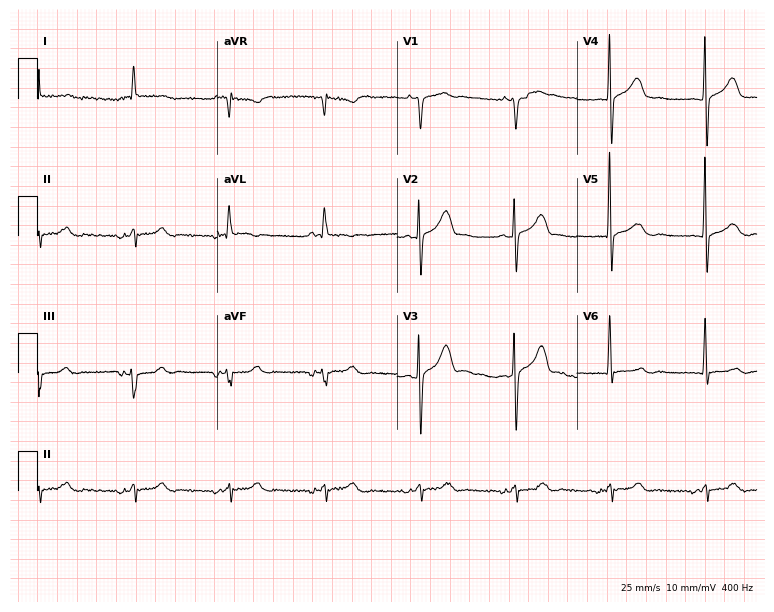
Resting 12-lead electrocardiogram (7.3-second recording at 400 Hz). Patient: a 61-year-old female. None of these six findings is recorded: first-degree AV block, right bundle branch block, left bundle branch block, sinus bradycardia, atrial fibrillation, sinus tachycardia. Findings outside these six are not listed.